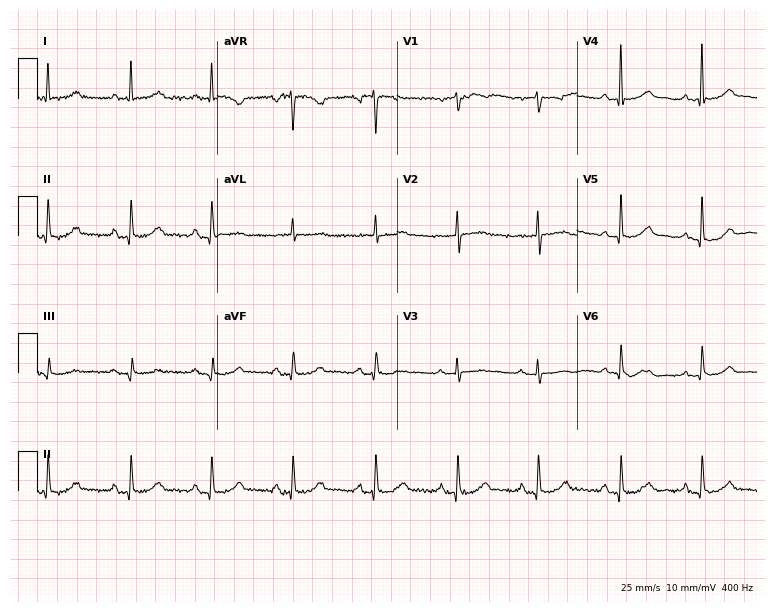
Standard 12-lead ECG recorded from a woman, 72 years old (7.3-second recording at 400 Hz). Read as a normal ECG.